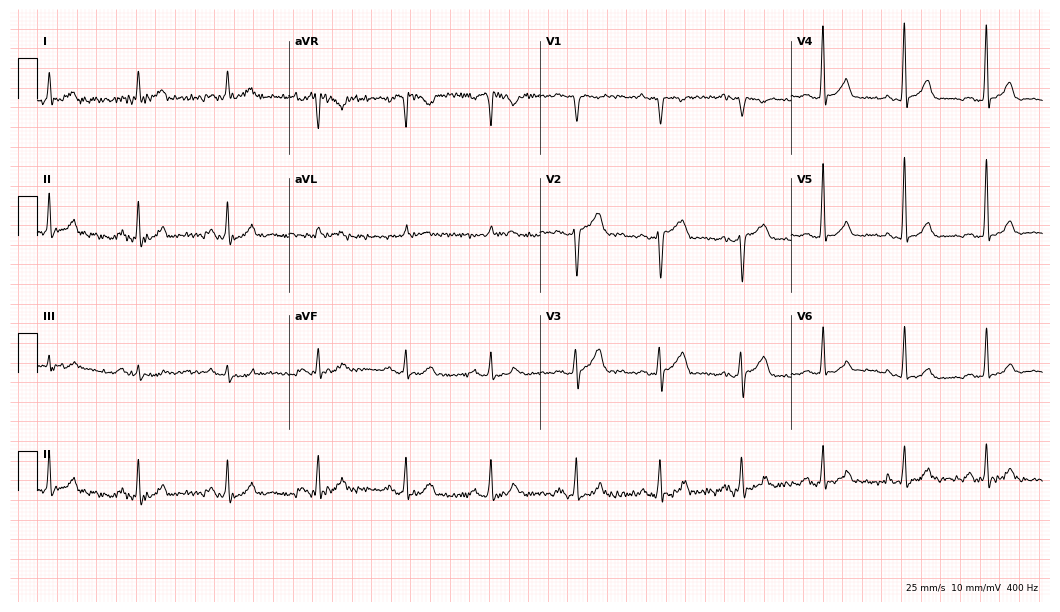
Resting 12-lead electrocardiogram (10.2-second recording at 400 Hz). Patient: a 62-year-old male. None of these six findings is recorded: first-degree AV block, right bundle branch block (RBBB), left bundle branch block (LBBB), sinus bradycardia, atrial fibrillation (AF), sinus tachycardia. Findings outside these six are not listed.